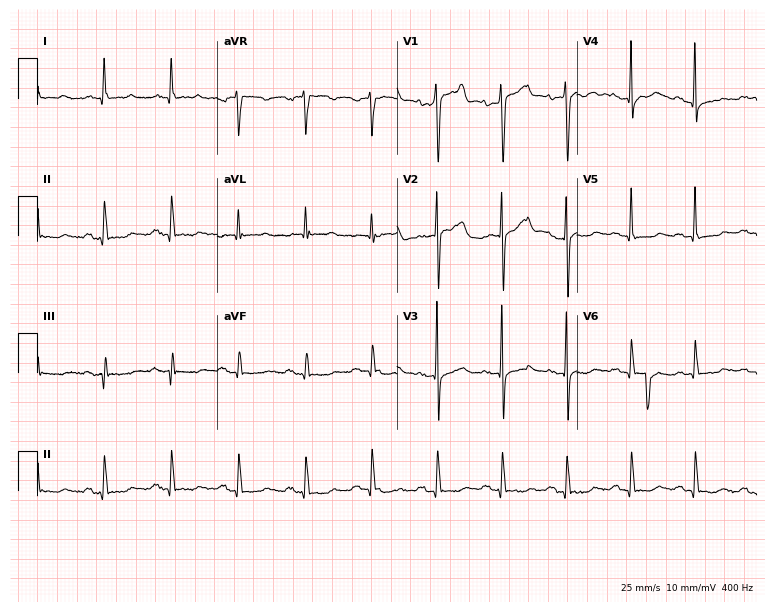
Resting 12-lead electrocardiogram (7.3-second recording at 400 Hz). Patient: a man, 72 years old. None of these six findings is recorded: first-degree AV block, right bundle branch block, left bundle branch block, sinus bradycardia, atrial fibrillation, sinus tachycardia.